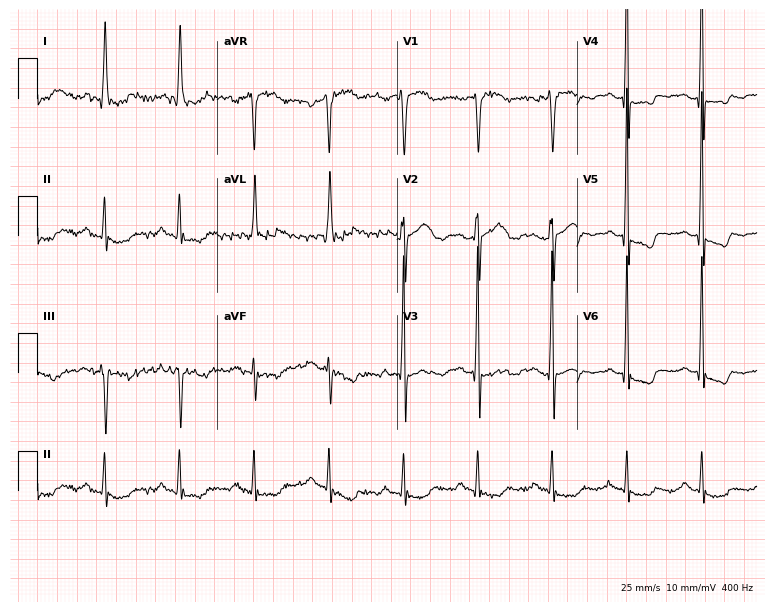
Electrocardiogram (7.3-second recording at 400 Hz), a 78-year-old woman. Of the six screened findings (first-degree AV block, right bundle branch block, left bundle branch block, sinus bradycardia, atrial fibrillation, sinus tachycardia), none is recorded.